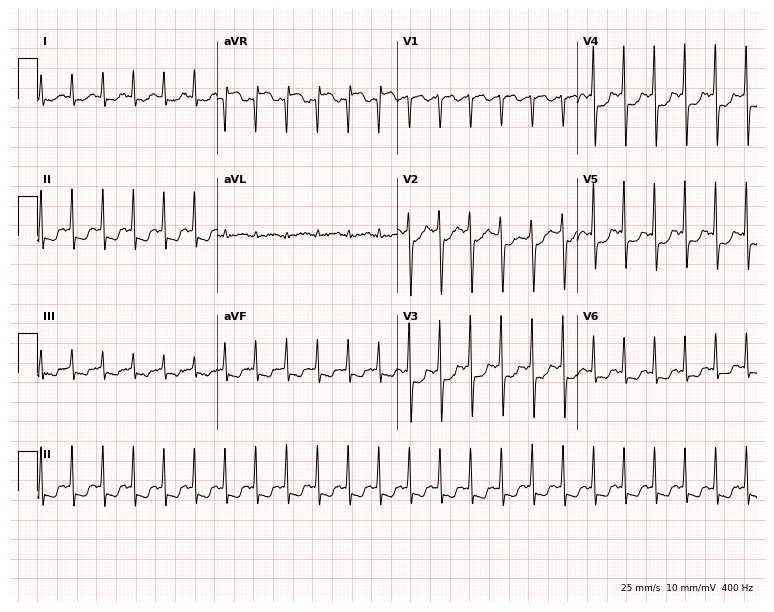
12-lead ECG from a 64-year-old man. Shows sinus tachycardia (a sinus rate of 100 beats per minute or more).